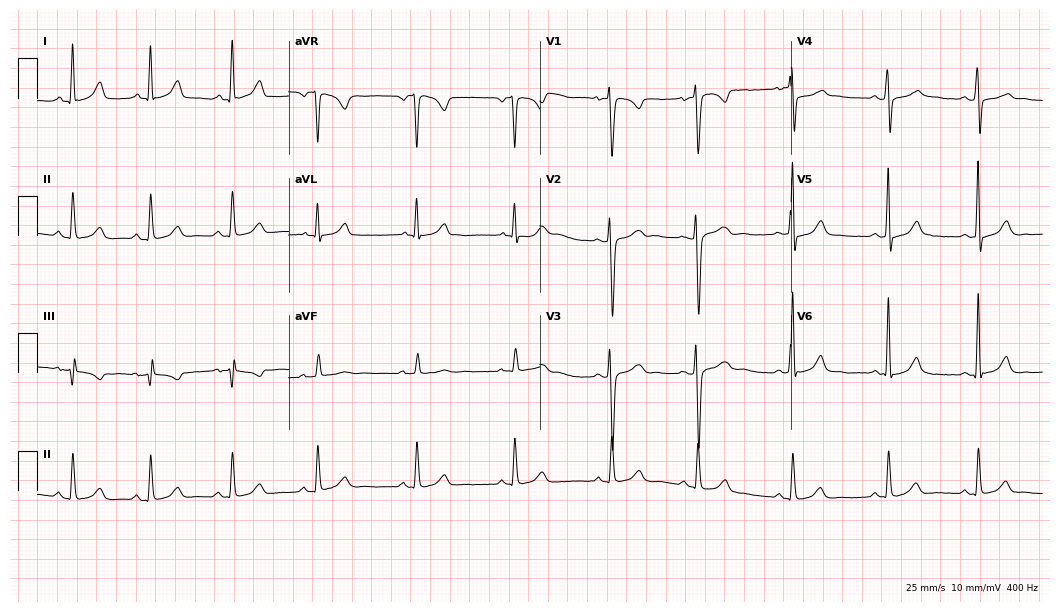
12-lead ECG from a woman, 23 years old (10.2-second recording at 400 Hz). Recorded interpretation: within normal limits.